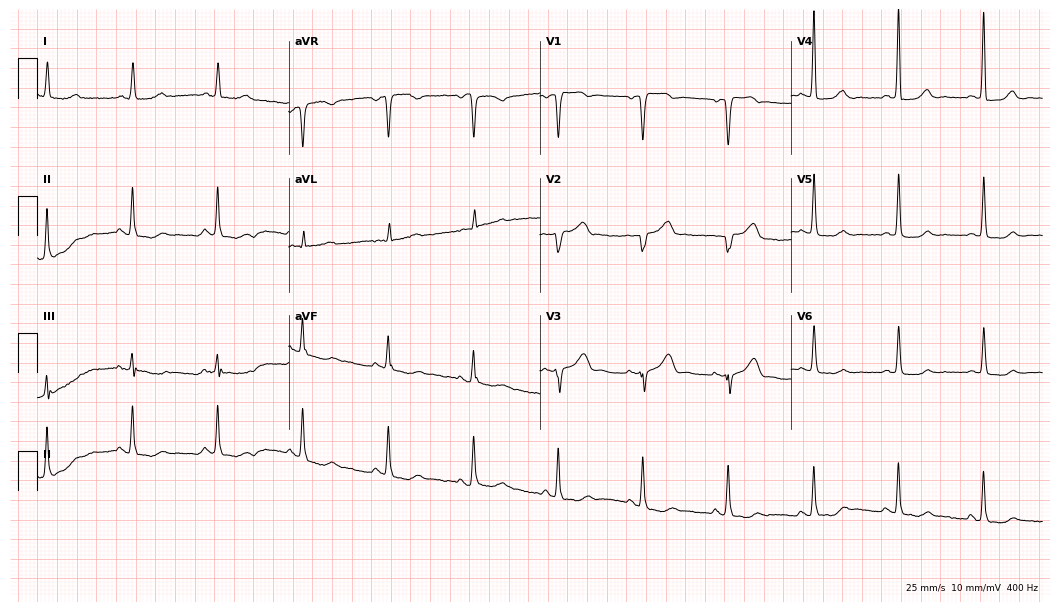
Resting 12-lead electrocardiogram. Patient: a woman, 71 years old. None of these six findings is recorded: first-degree AV block, right bundle branch block, left bundle branch block, sinus bradycardia, atrial fibrillation, sinus tachycardia.